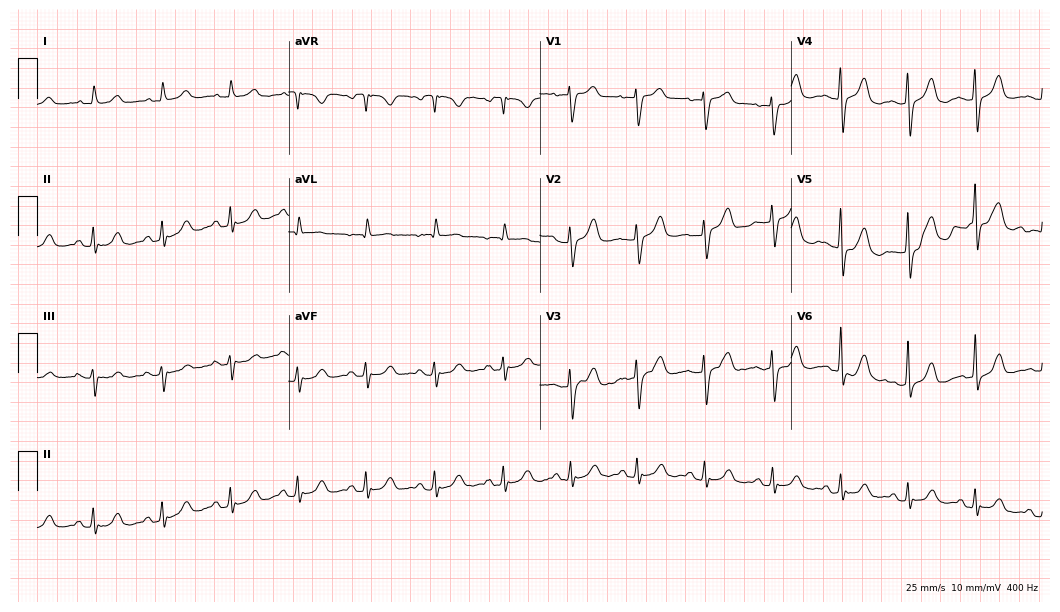
Standard 12-lead ECG recorded from an 85-year-old female patient (10.2-second recording at 400 Hz). Read as a normal ECG.